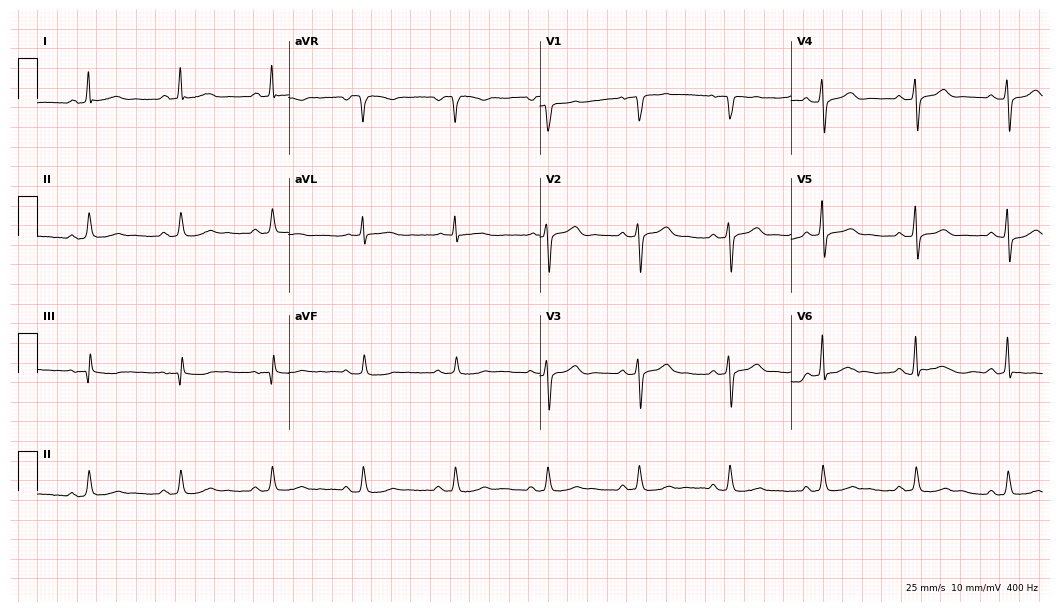
Resting 12-lead electrocardiogram (10.2-second recording at 400 Hz). Patient: a male, 62 years old. None of these six findings is recorded: first-degree AV block, right bundle branch block, left bundle branch block, sinus bradycardia, atrial fibrillation, sinus tachycardia. Findings outside these six are not listed.